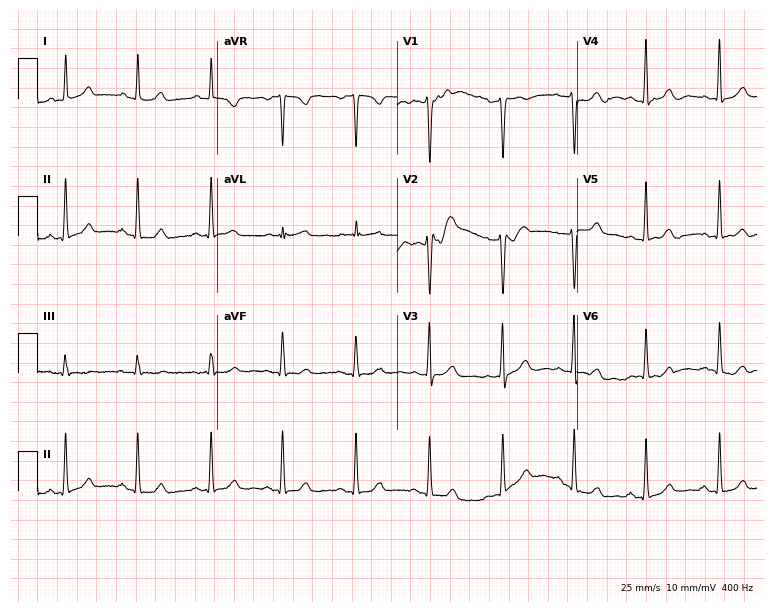
Standard 12-lead ECG recorded from a female, 47 years old. Read as a normal ECG.